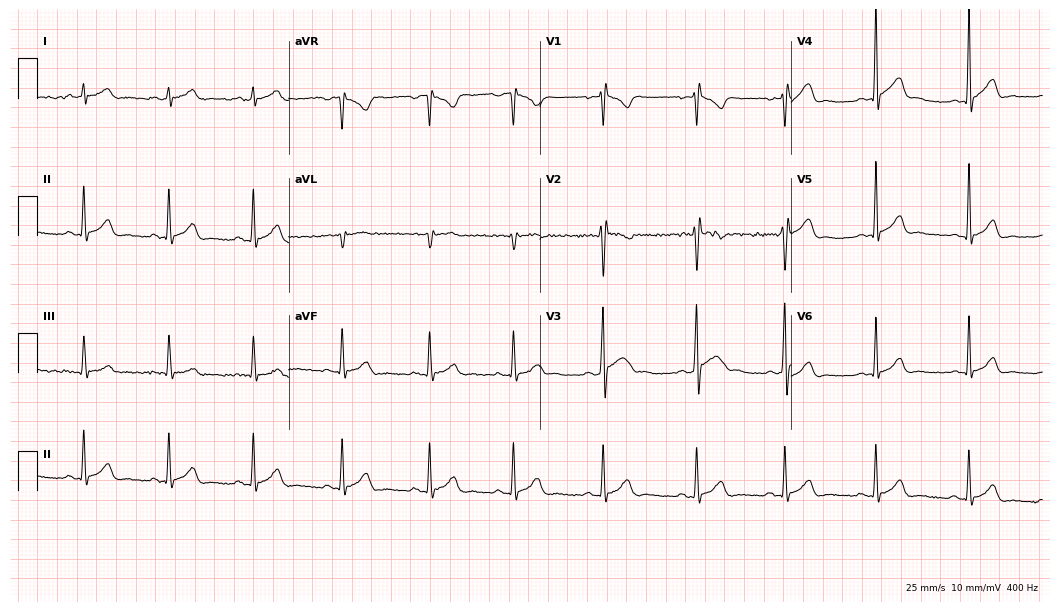
Standard 12-lead ECG recorded from a male, 18 years old (10.2-second recording at 400 Hz). Read as a normal ECG.